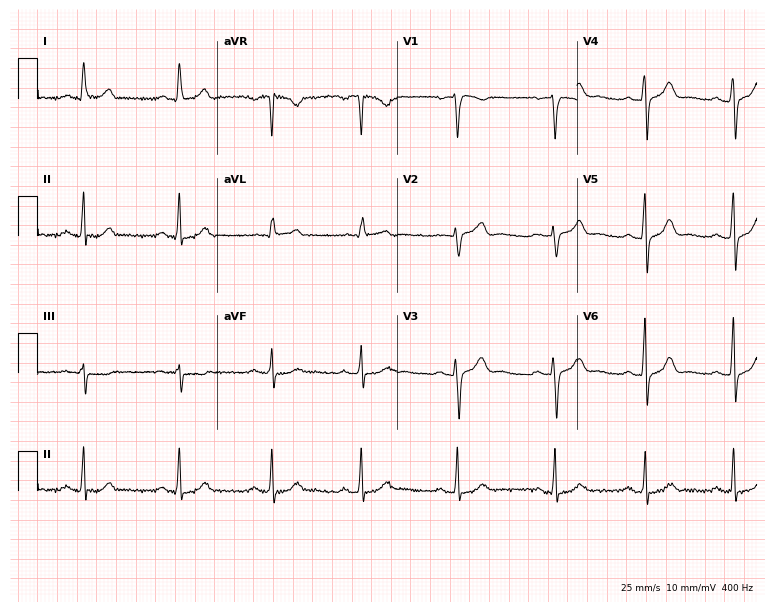
ECG — a female patient, 40 years old. Labelled as a normal ECG.